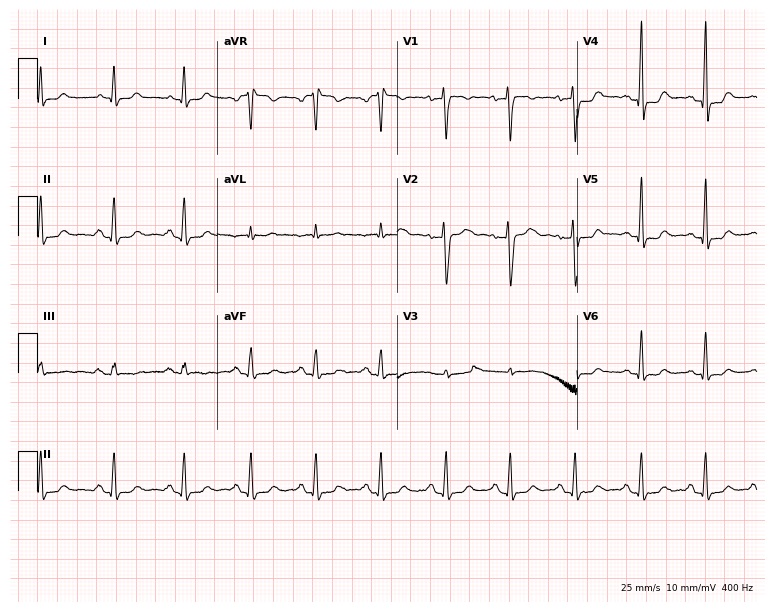
Standard 12-lead ECG recorded from a 44-year-old female. Read as a normal ECG.